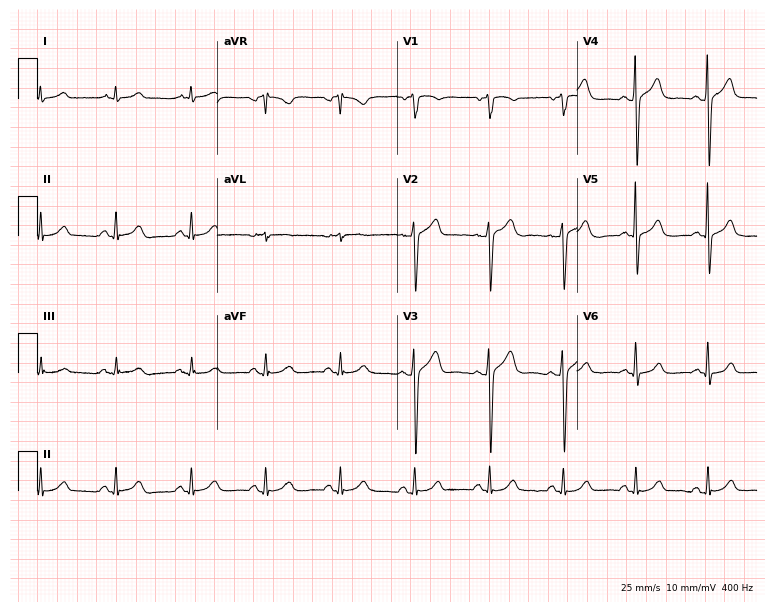
Standard 12-lead ECG recorded from a man, 69 years old (7.3-second recording at 400 Hz). Read as a normal ECG.